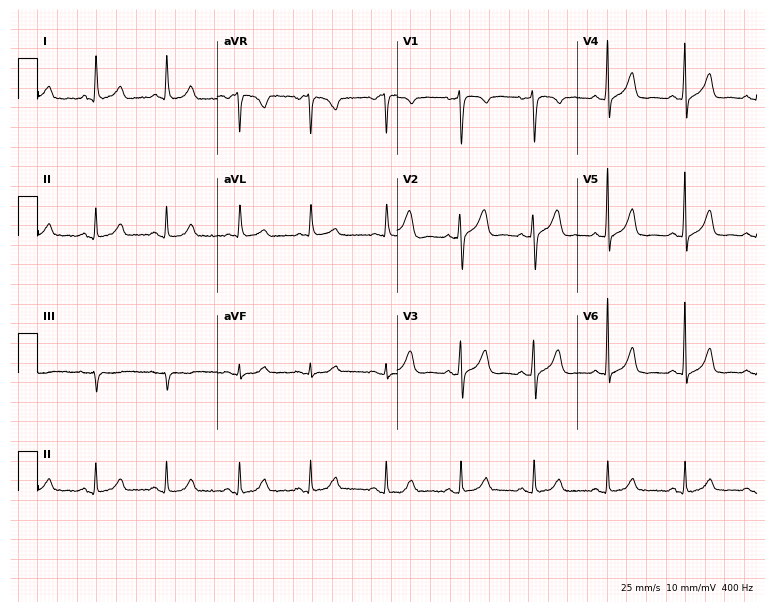
12-lead ECG from a woman, 71 years old. Screened for six findings — first-degree AV block, right bundle branch block, left bundle branch block, sinus bradycardia, atrial fibrillation, sinus tachycardia — none is recorded.